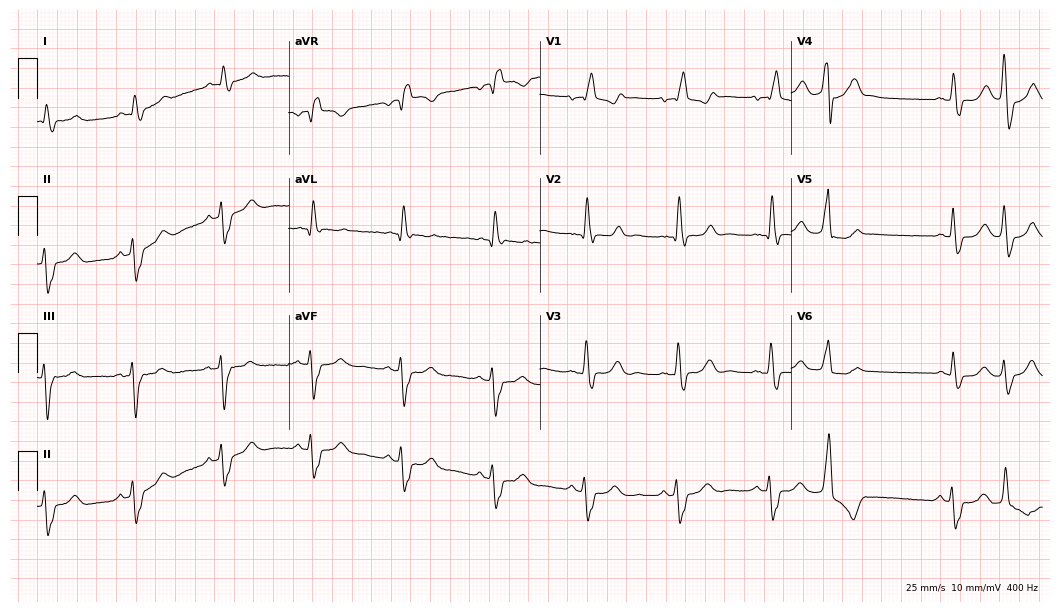
Resting 12-lead electrocardiogram. Patient: a 73-year-old male. The tracing shows right bundle branch block.